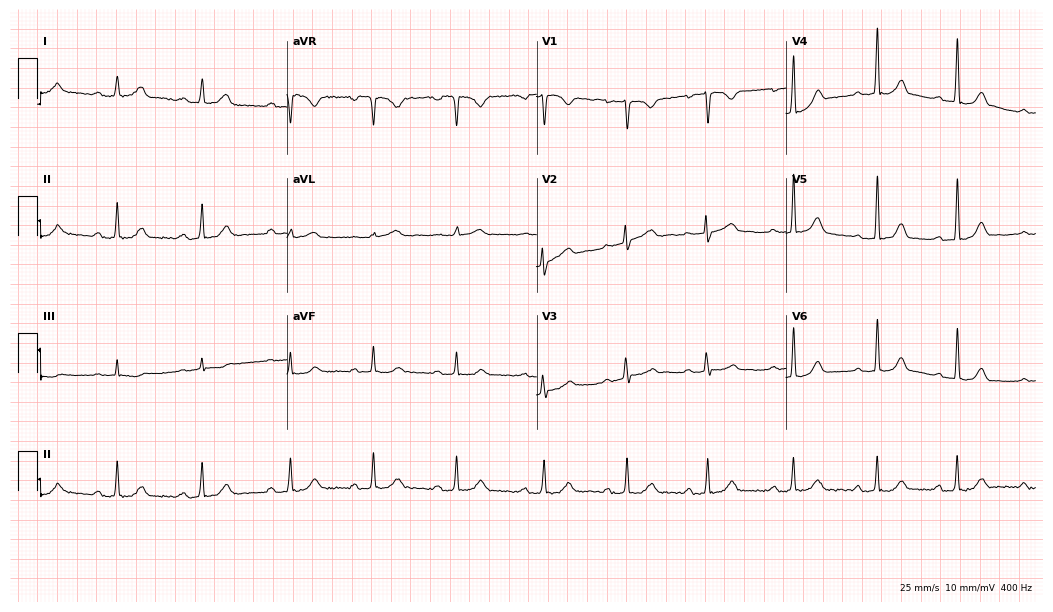
12-lead ECG (10.2-second recording at 400 Hz) from a woman, 28 years old. Findings include first-degree AV block.